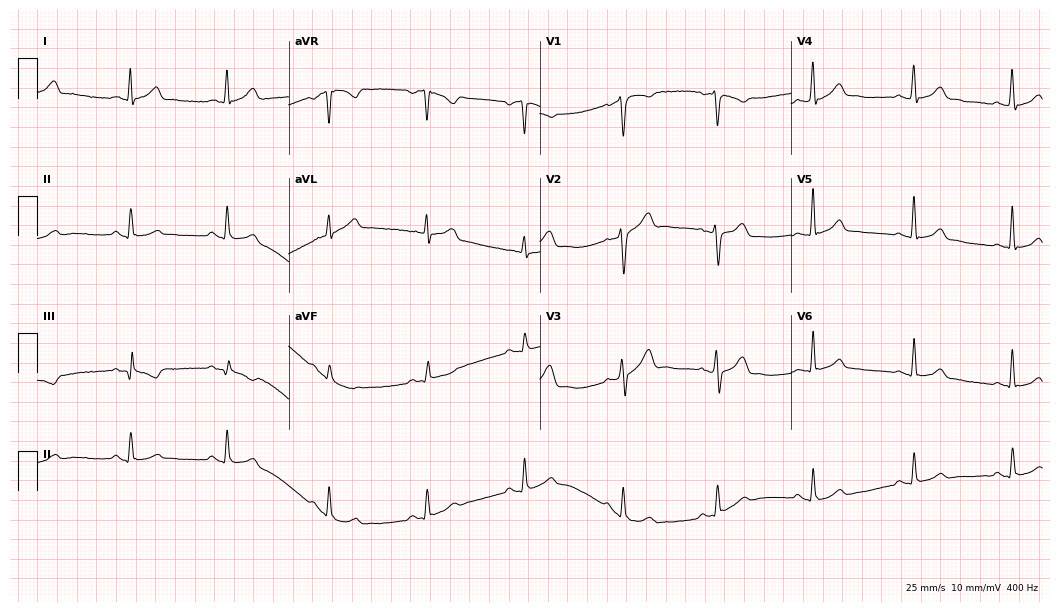
Standard 12-lead ECG recorded from a 33-year-old male (10.2-second recording at 400 Hz). Read as a normal ECG.